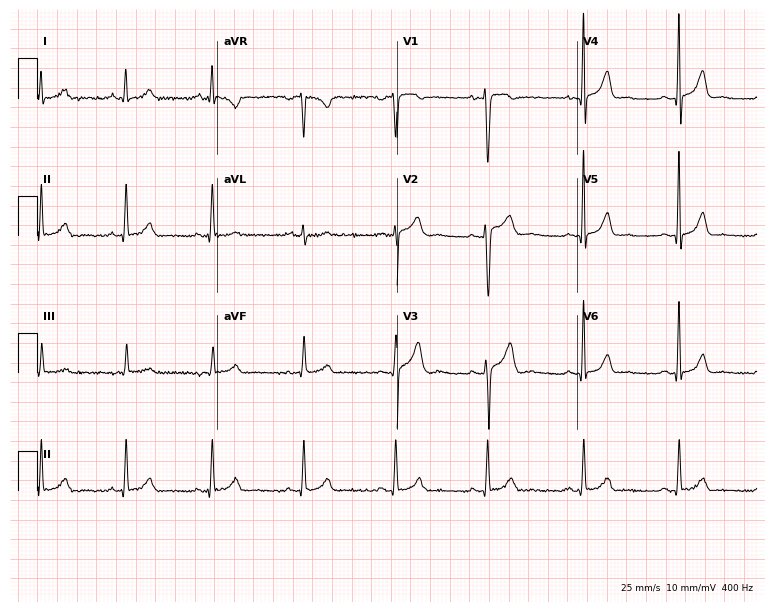
12-lead ECG (7.3-second recording at 400 Hz) from a 38-year-old man. Screened for six findings — first-degree AV block, right bundle branch block, left bundle branch block, sinus bradycardia, atrial fibrillation, sinus tachycardia — none is recorded. Only these six findings were labelled.